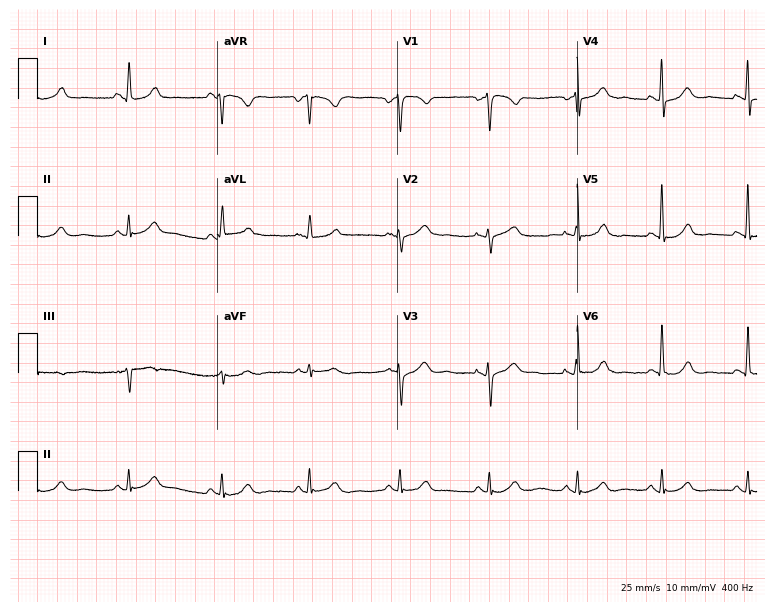
12-lead ECG from a female patient, 47 years old. Labelled as a normal ECG.